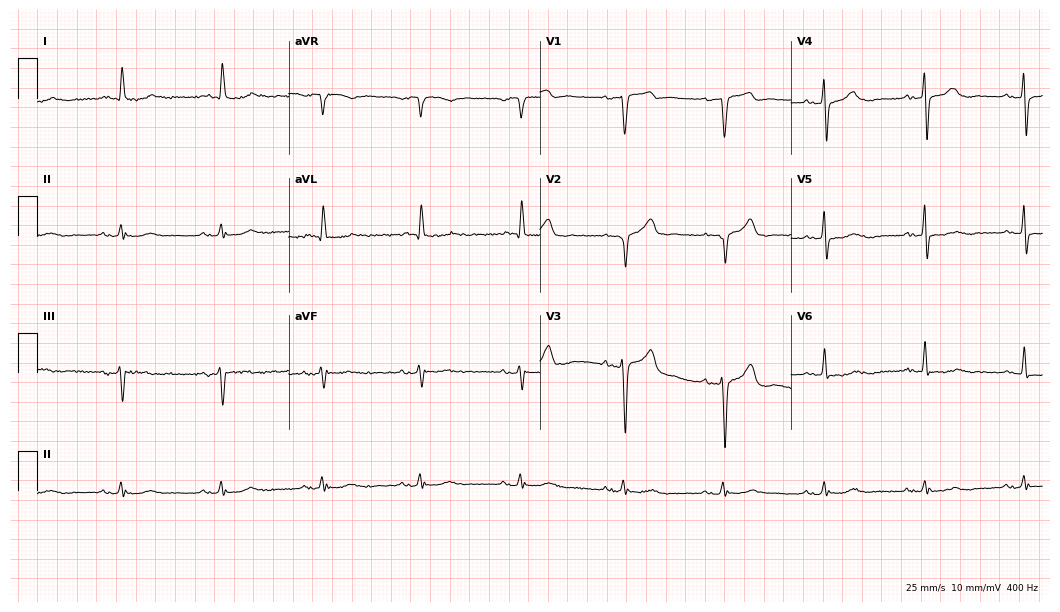
Standard 12-lead ECG recorded from a male, 76 years old (10.2-second recording at 400 Hz). None of these six findings is recorded: first-degree AV block, right bundle branch block, left bundle branch block, sinus bradycardia, atrial fibrillation, sinus tachycardia.